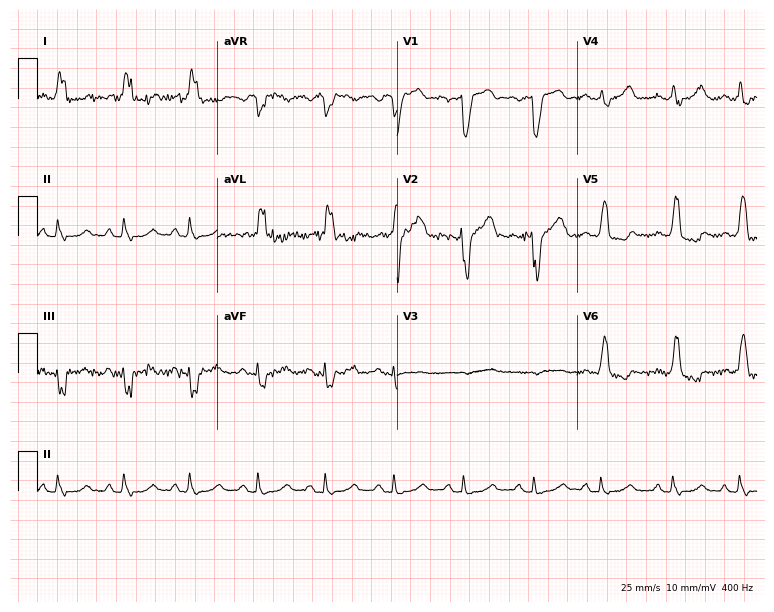
Resting 12-lead electrocardiogram. Patient: a female, 63 years old. None of these six findings is recorded: first-degree AV block, right bundle branch block, left bundle branch block, sinus bradycardia, atrial fibrillation, sinus tachycardia. Other findings, if any, are not listed.